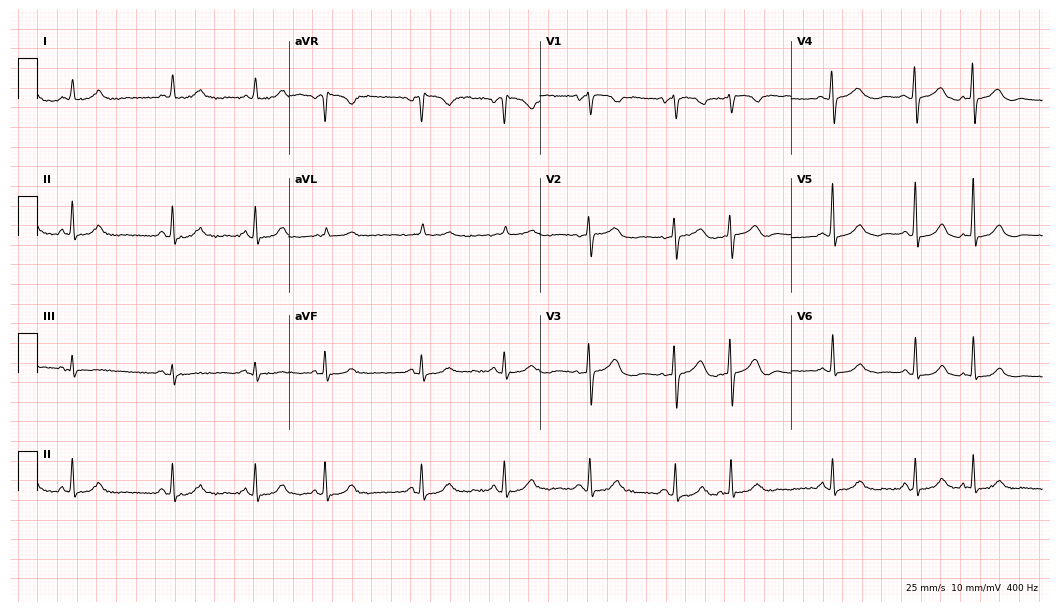
Electrocardiogram (10.2-second recording at 400 Hz), a female, 73 years old. Of the six screened findings (first-degree AV block, right bundle branch block, left bundle branch block, sinus bradycardia, atrial fibrillation, sinus tachycardia), none is recorded.